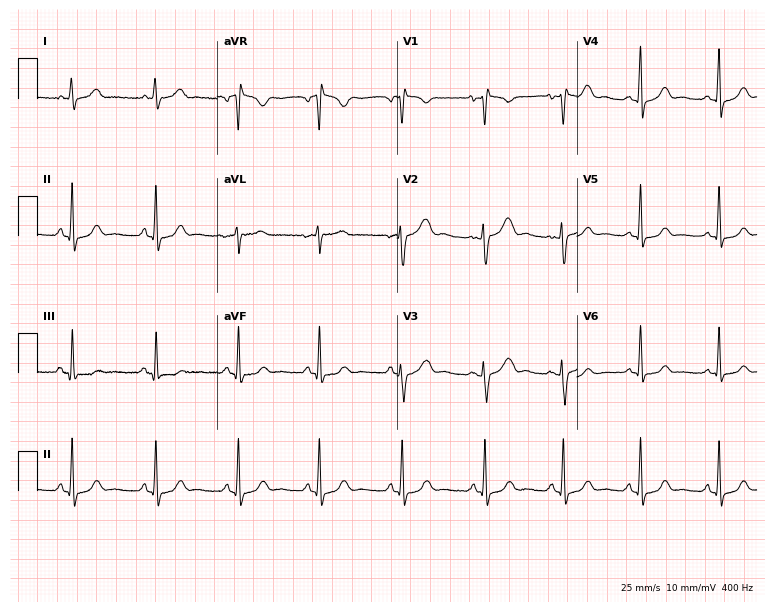
Electrocardiogram (7.3-second recording at 400 Hz), a 32-year-old female. Of the six screened findings (first-degree AV block, right bundle branch block, left bundle branch block, sinus bradycardia, atrial fibrillation, sinus tachycardia), none is recorded. Other findings, if any, are not listed.